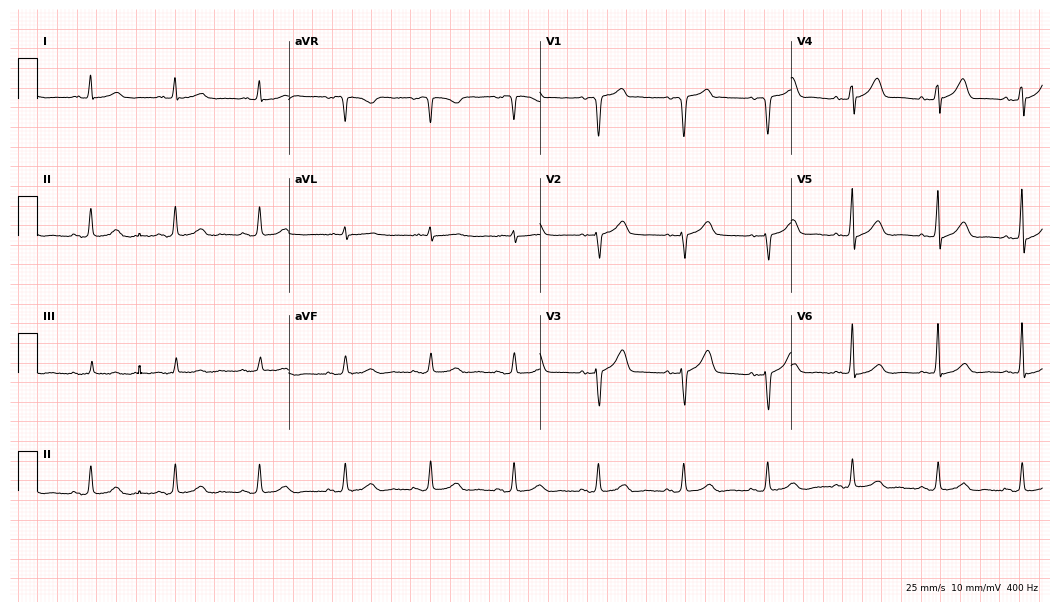
Electrocardiogram (10.2-second recording at 400 Hz), a man, 64 years old. Overall reading on record: normal ECG.